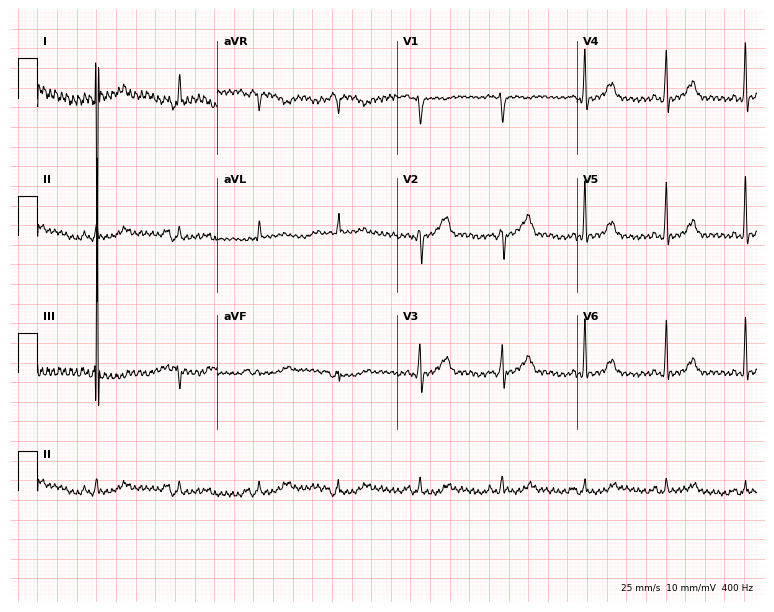
ECG — a 52-year-old female. Screened for six findings — first-degree AV block, right bundle branch block, left bundle branch block, sinus bradycardia, atrial fibrillation, sinus tachycardia — none is recorded.